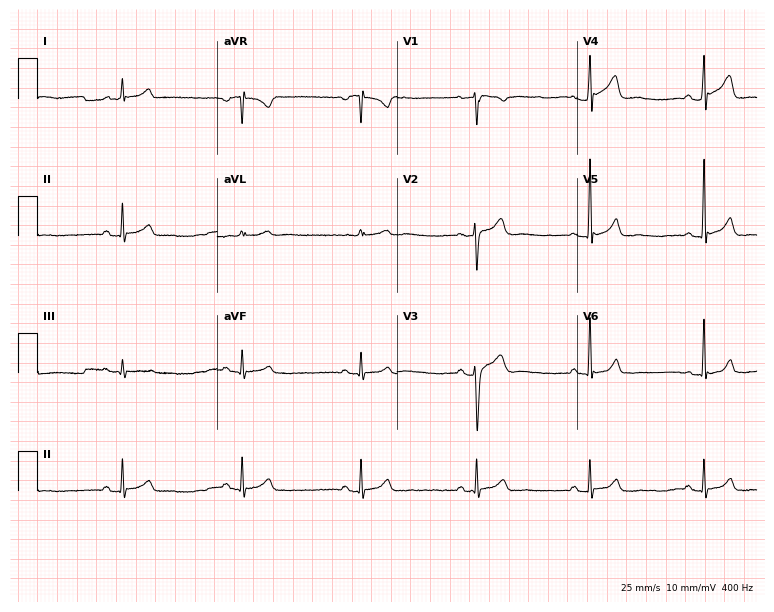
Electrocardiogram, a male, 45 years old. Overall reading on record: normal ECG.